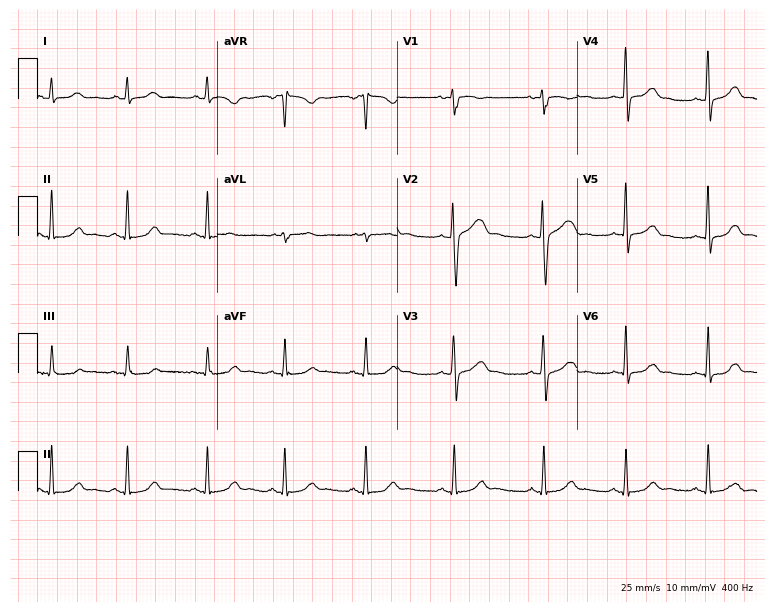
Electrocardiogram (7.3-second recording at 400 Hz), a female patient, 32 years old. Overall reading on record: normal ECG.